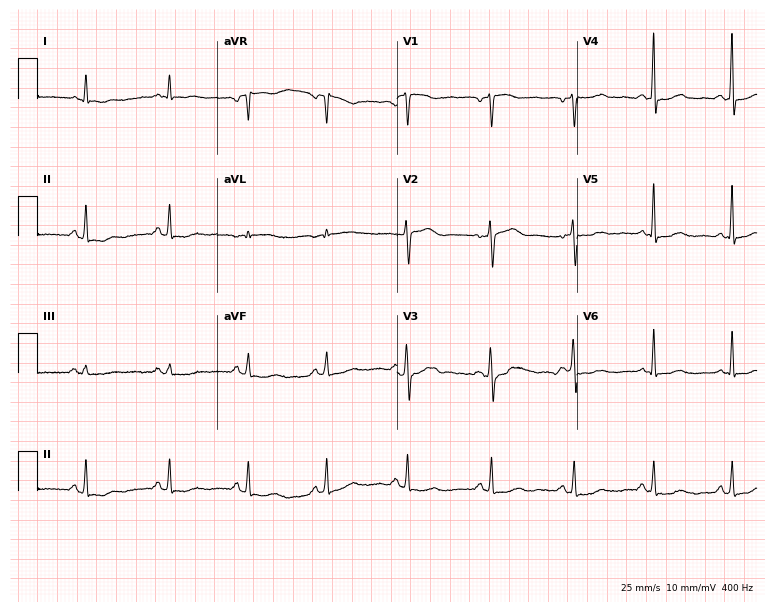
ECG (7.3-second recording at 400 Hz) — a 55-year-old female. Screened for six findings — first-degree AV block, right bundle branch block, left bundle branch block, sinus bradycardia, atrial fibrillation, sinus tachycardia — none is recorded.